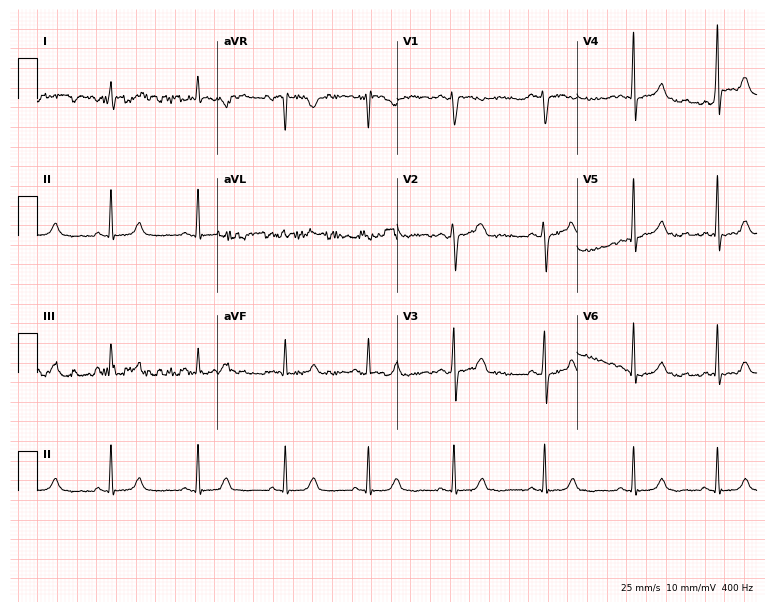
Resting 12-lead electrocardiogram (7.3-second recording at 400 Hz). Patient: a female, 36 years old. Read as a normal ECG.